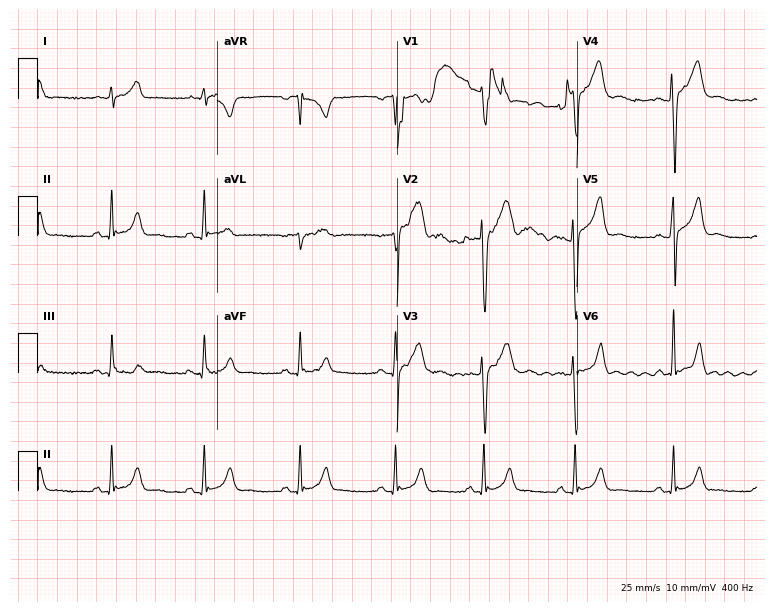
ECG — a 25-year-old male. Labelled as a normal ECG.